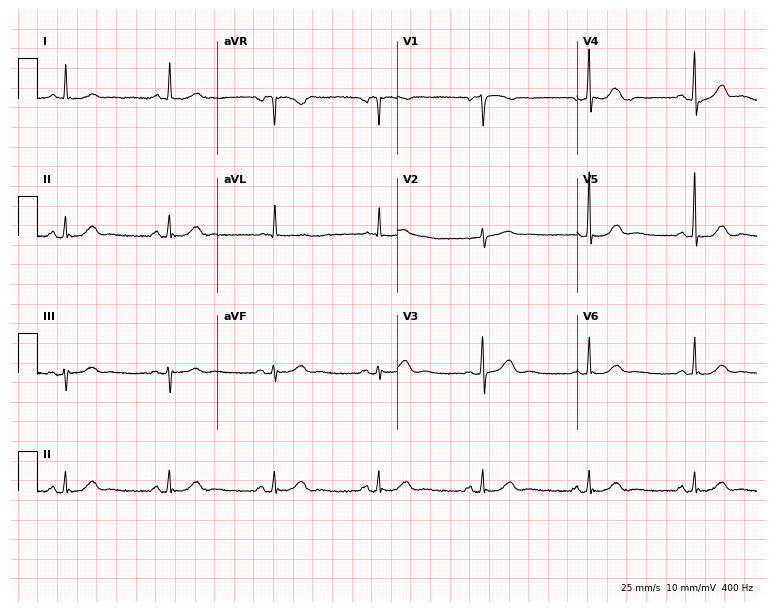
12-lead ECG from a 66-year-old female. Labelled as a normal ECG.